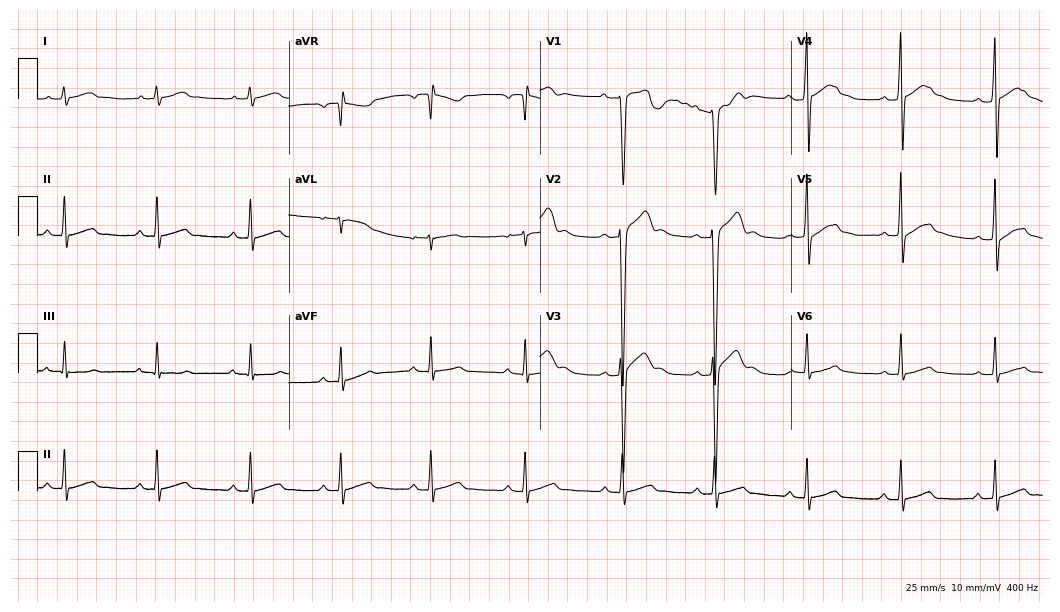
ECG — a male patient, 21 years old. Screened for six findings — first-degree AV block, right bundle branch block, left bundle branch block, sinus bradycardia, atrial fibrillation, sinus tachycardia — none is recorded. Other findings, if any, are not listed.